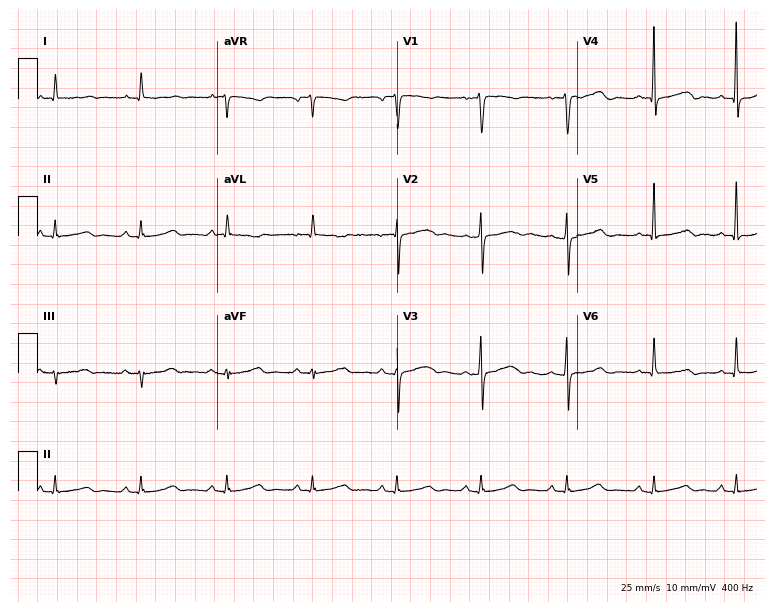
Electrocardiogram, a 57-year-old female. Of the six screened findings (first-degree AV block, right bundle branch block (RBBB), left bundle branch block (LBBB), sinus bradycardia, atrial fibrillation (AF), sinus tachycardia), none is recorded. Findings outside these six are not listed.